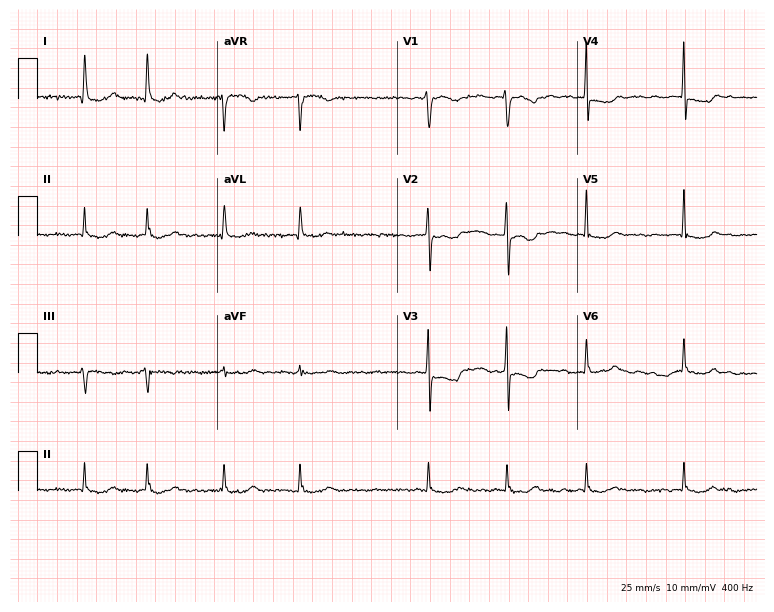
Electrocardiogram (7.3-second recording at 400 Hz), a woman, 61 years old. Interpretation includes atrial fibrillation (AF).